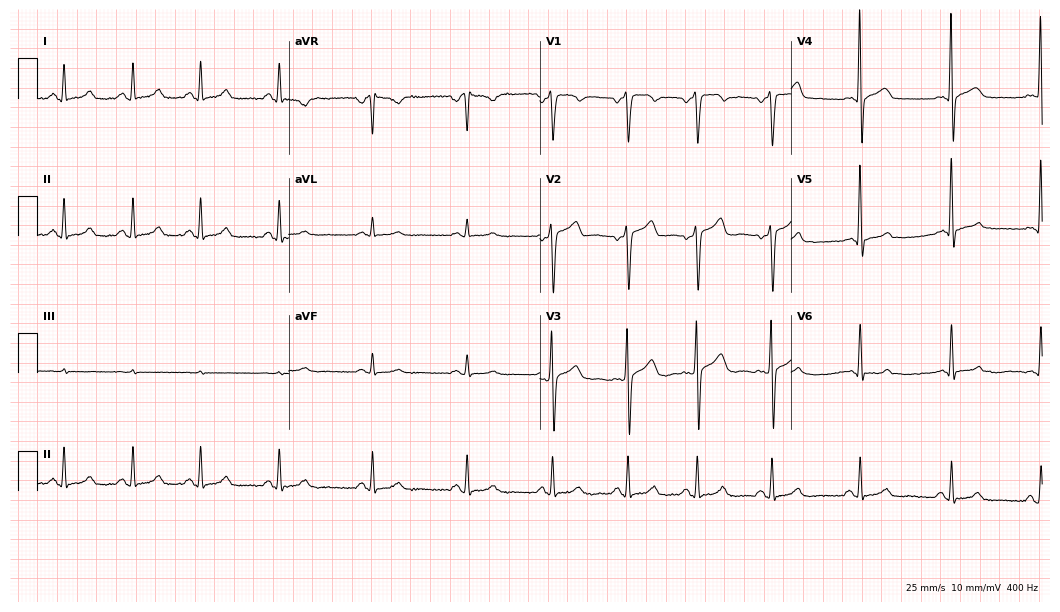
ECG (10.2-second recording at 400 Hz) — a 35-year-old man. Labelled as a normal ECG.